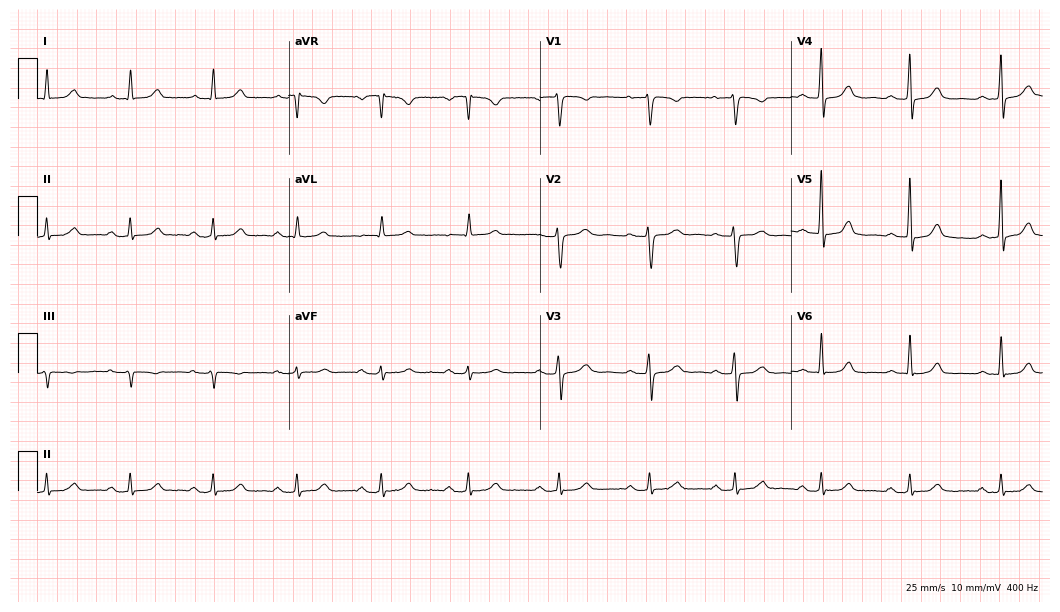
Standard 12-lead ECG recorded from a female patient, 56 years old. Read as a normal ECG.